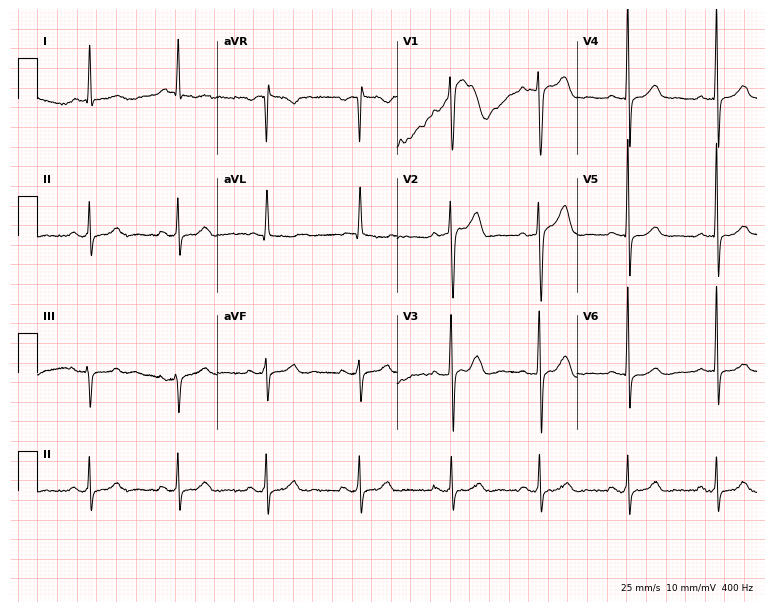
ECG — a female, 52 years old. Screened for six findings — first-degree AV block, right bundle branch block, left bundle branch block, sinus bradycardia, atrial fibrillation, sinus tachycardia — none is recorded. Other findings, if any, are not listed.